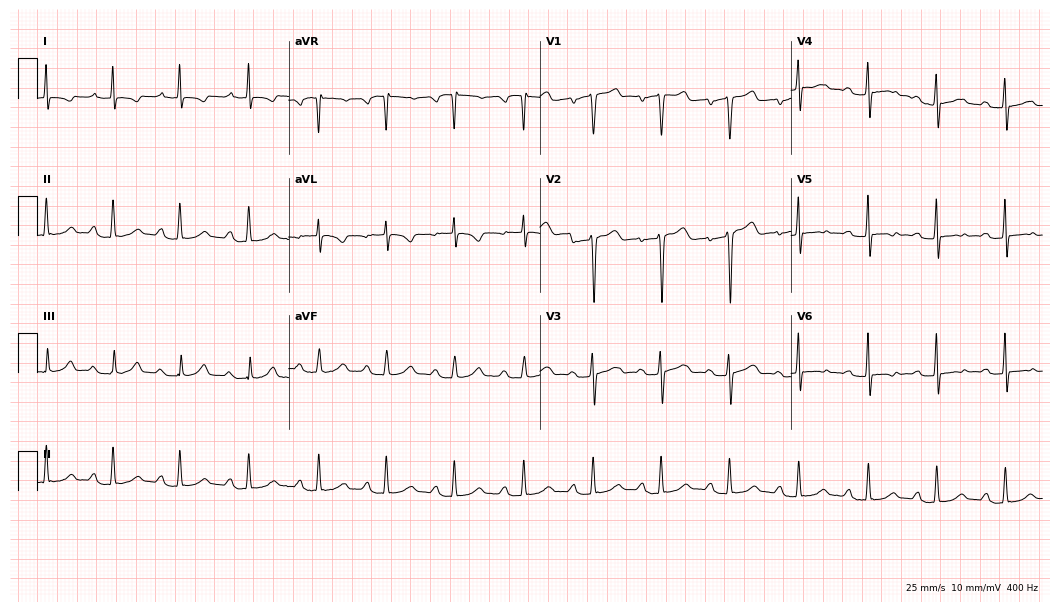
ECG — a woman, 39 years old. Findings include first-degree AV block.